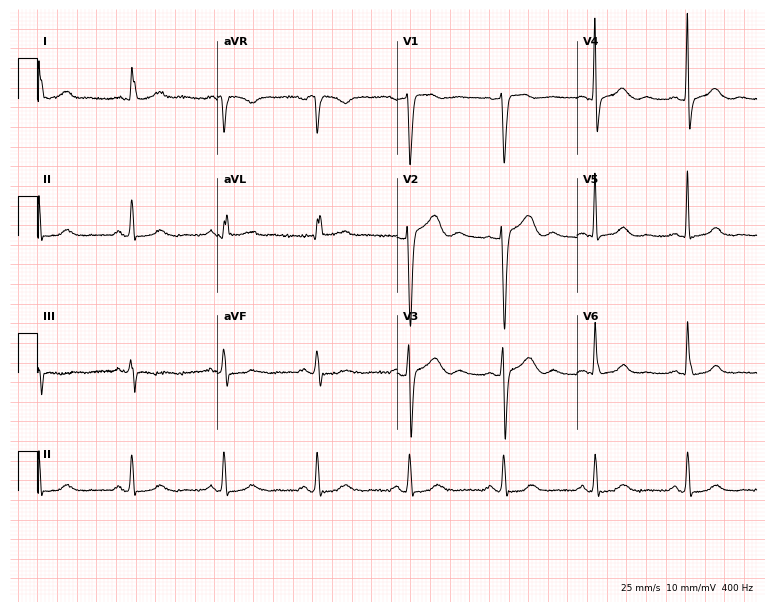
ECG (7.3-second recording at 400 Hz) — a female patient, 63 years old. Screened for six findings — first-degree AV block, right bundle branch block, left bundle branch block, sinus bradycardia, atrial fibrillation, sinus tachycardia — none is recorded.